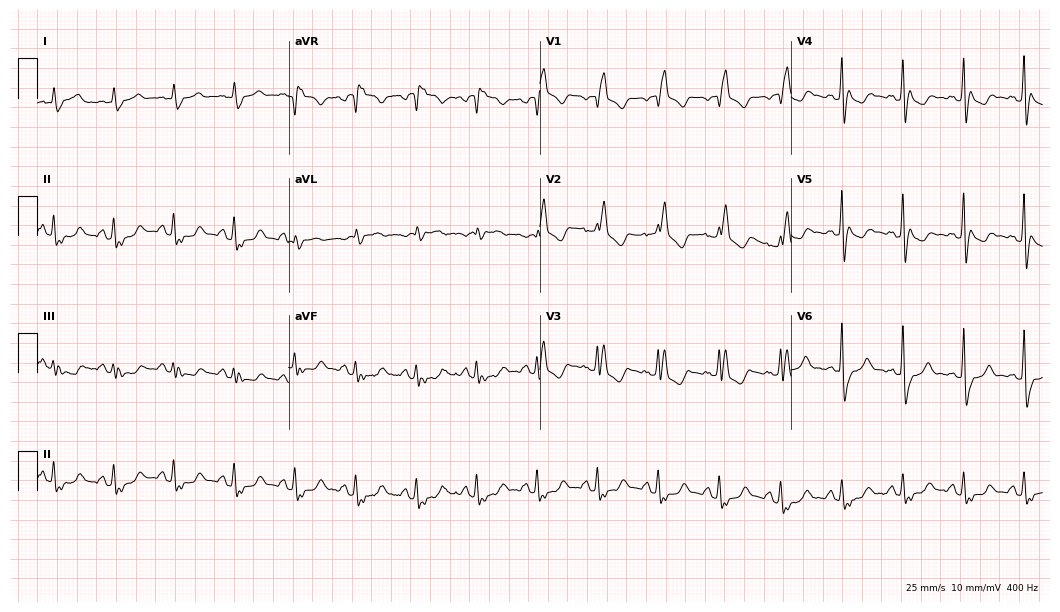
Standard 12-lead ECG recorded from a 70-year-old man. The tracing shows right bundle branch block.